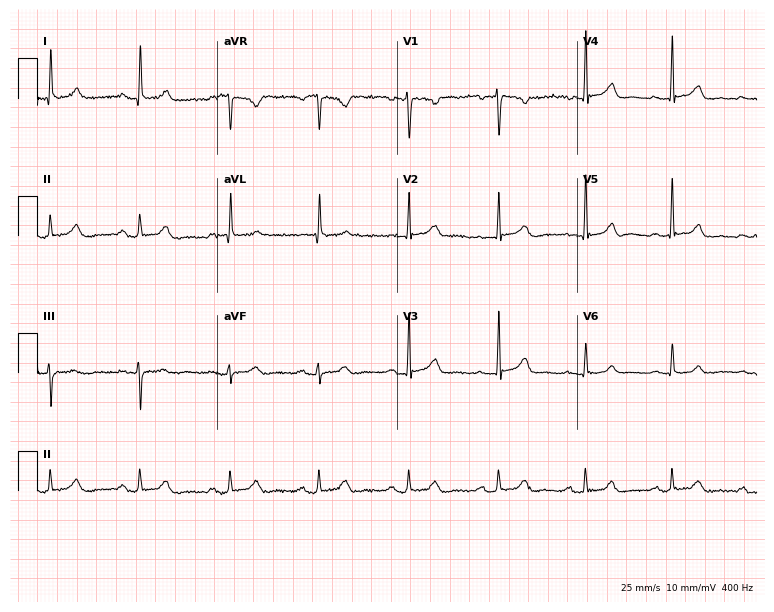
Electrocardiogram (7.3-second recording at 400 Hz), a 52-year-old female patient. Overall reading on record: normal ECG.